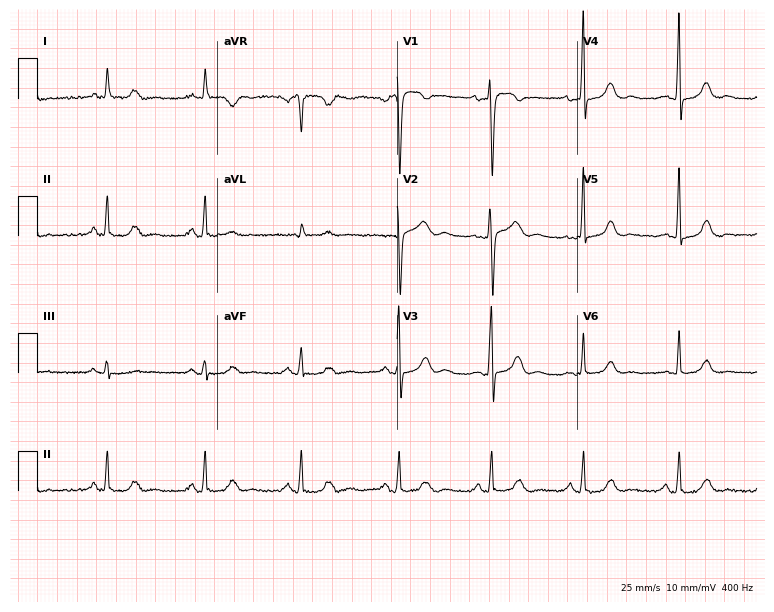
Resting 12-lead electrocardiogram. Patient: a 53-year-old female. None of these six findings is recorded: first-degree AV block, right bundle branch block (RBBB), left bundle branch block (LBBB), sinus bradycardia, atrial fibrillation (AF), sinus tachycardia. Other findings, if any, are not listed.